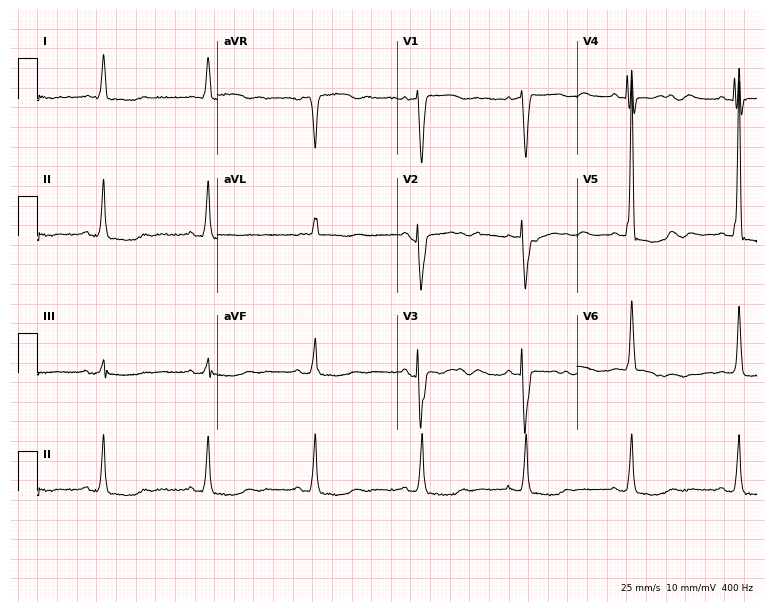
ECG (7.3-second recording at 400 Hz) — a 79-year-old woman. Findings include left bundle branch block (LBBB).